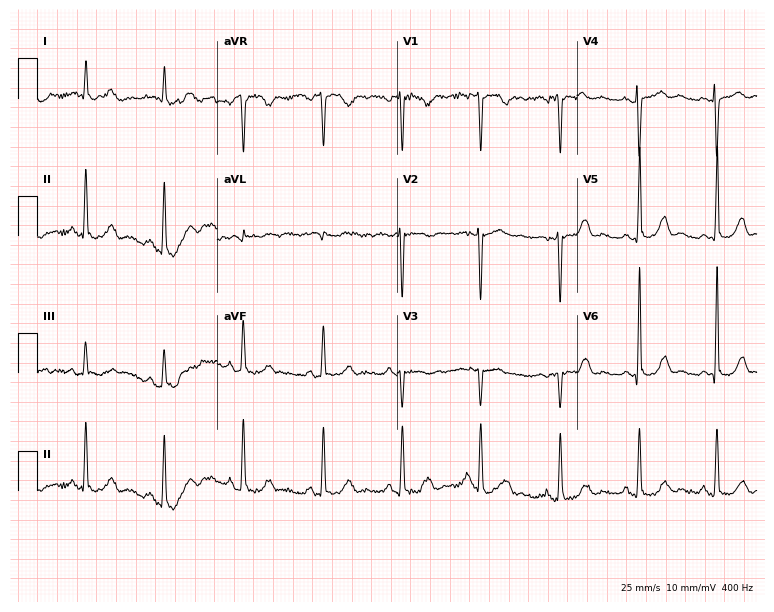
Standard 12-lead ECG recorded from a 44-year-old woman (7.3-second recording at 400 Hz). Read as a normal ECG.